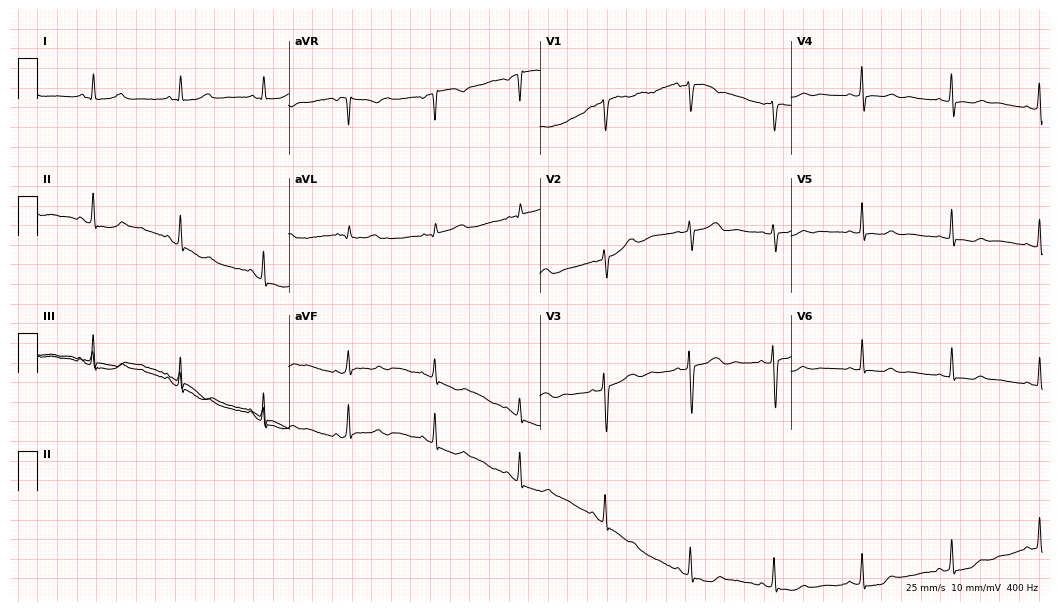
Standard 12-lead ECG recorded from a 45-year-old female (10.2-second recording at 400 Hz). None of these six findings is recorded: first-degree AV block, right bundle branch block, left bundle branch block, sinus bradycardia, atrial fibrillation, sinus tachycardia.